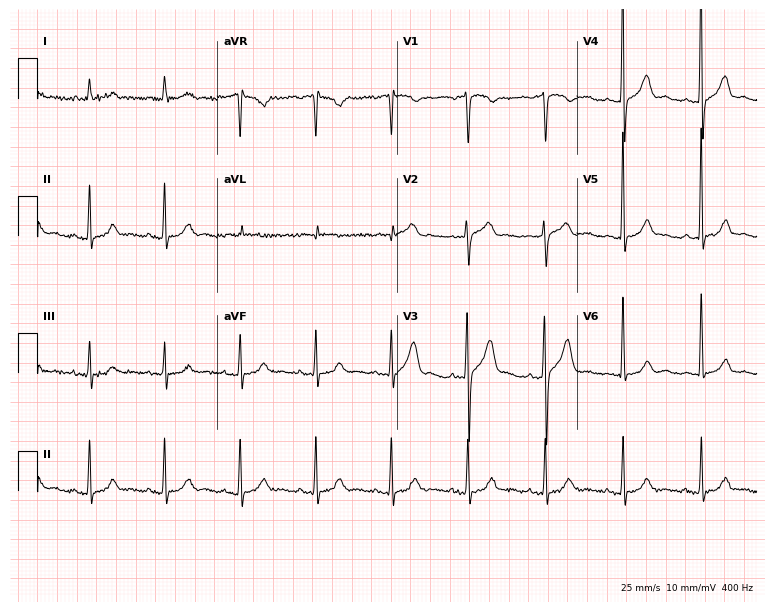
Electrocardiogram (7.3-second recording at 400 Hz), a man, 72 years old. Of the six screened findings (first-degree AV block, right bundle branch block, left bundle branch block, sinus bradycardia, atrial fibrillation, sinus tachycardia), none is recorded.